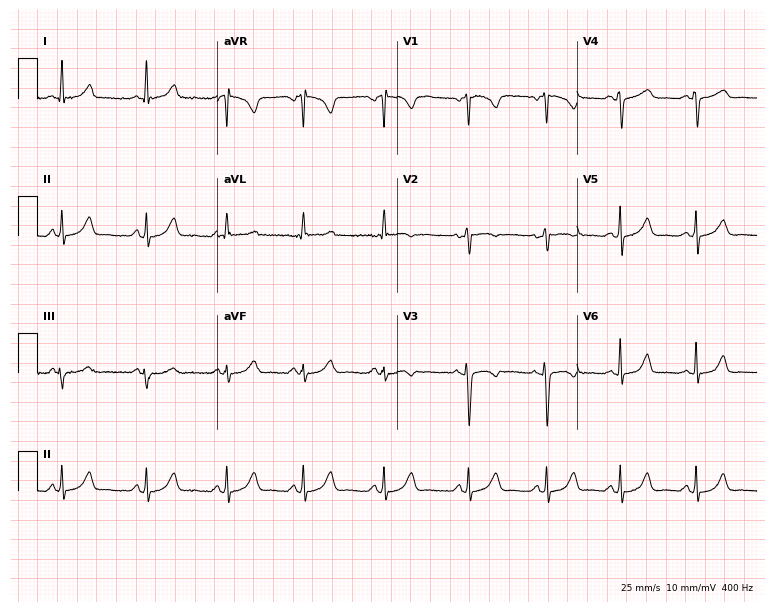
12-lead ECG from a 25-year-old female patient. Labelled as a normal ECG.